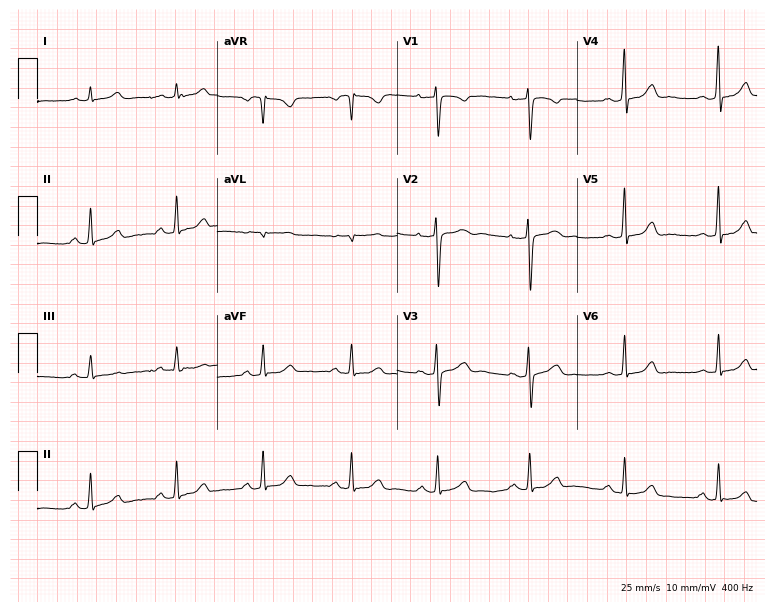
ECG (7.3-second recording at 400 Hz) — a female, 21 years old. Screened for six findings — first-degree AV block, right bundle branch block (RBBB), left bundle branch block (LBBB), sinus bradycardia, atrial fibrillation (AF), sinus tachycardia — none is recorded. Findings outside these six are not listed.